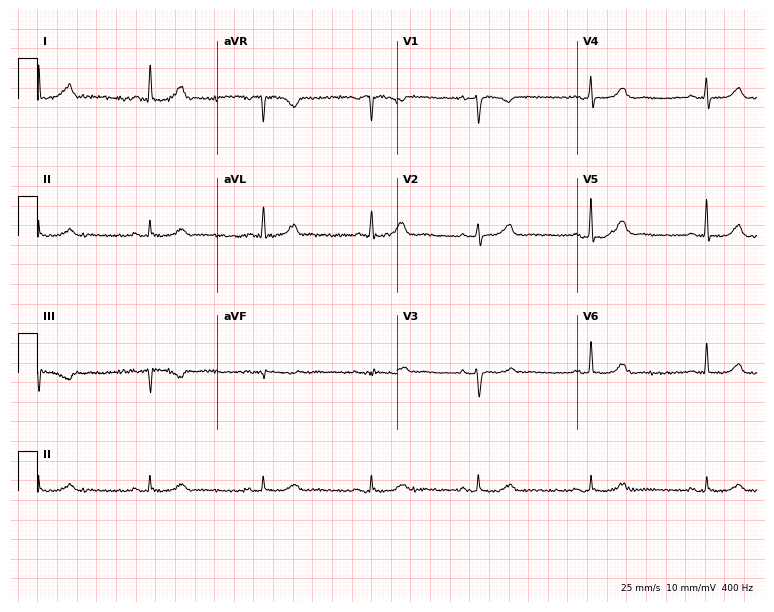
Electrocardiogram, a woman, 64 years old. Of the six screened findings (first-degree AV block, right bundle branch block (RBBB), left bundle branch block (LBBB), sinus bradycardia, atrial fibrillation (AF), sinus tachycardia), none is recorded.